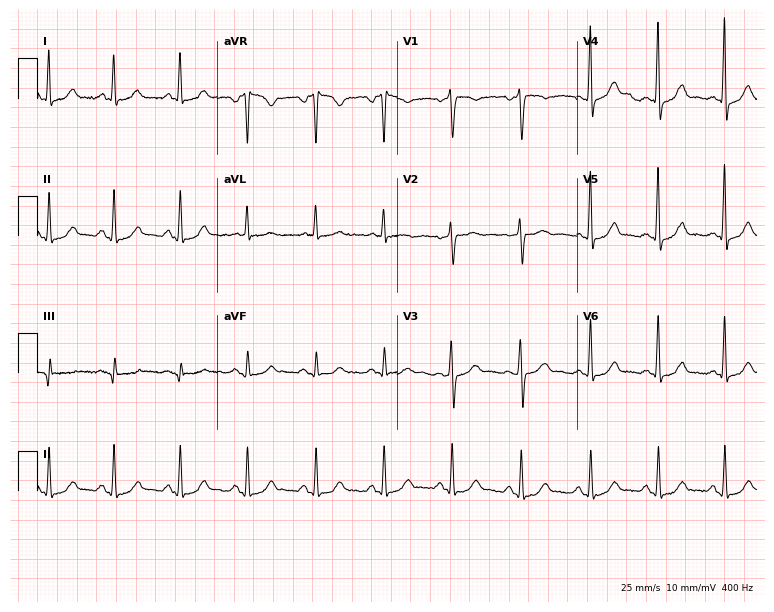
12-lead ECG (7.3-second recording at 400 Hz) from a 47-year-old female. Labelled as a normal ECG.